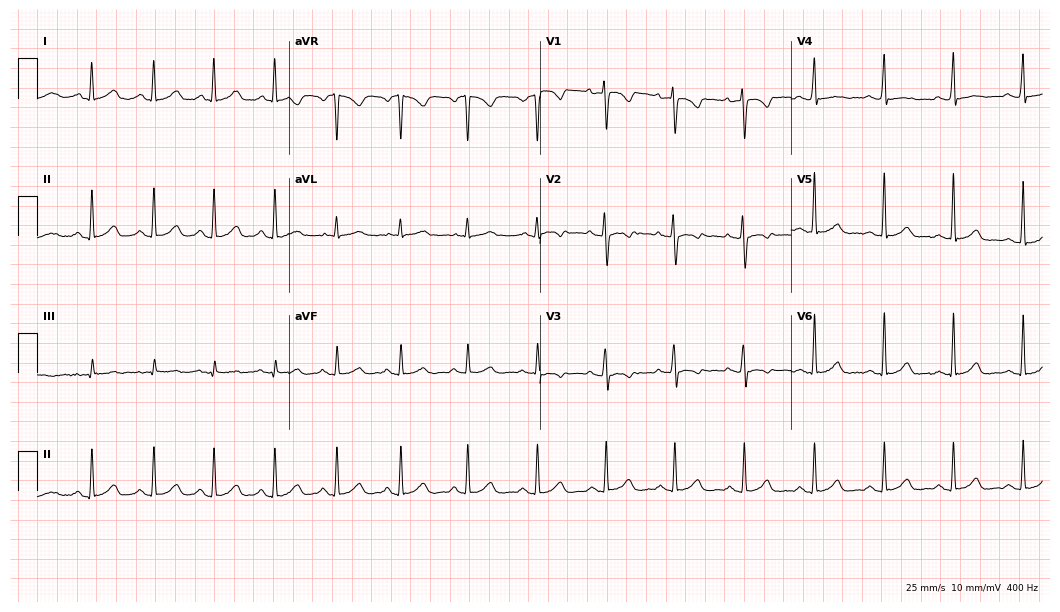
Standard 12-lead ECG recorded from a 26-year-old female (10.2-second recording at 400 Hz). Read as a normal ECG.